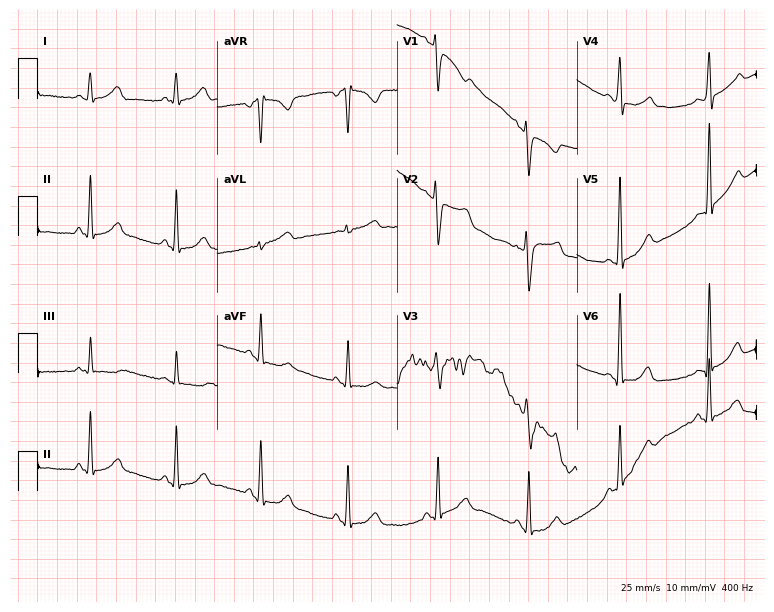
12-lead ECG (7.3-second recording at 400 Hz) from a 36-year-old female patient. Screened for six findings — first-degree AV block, right bundle branch block (RBBB), left bundle branch block (LBBB), sinus bradycardia, atrial fibrillation (AF), sinus tachycardia — none is recorded.